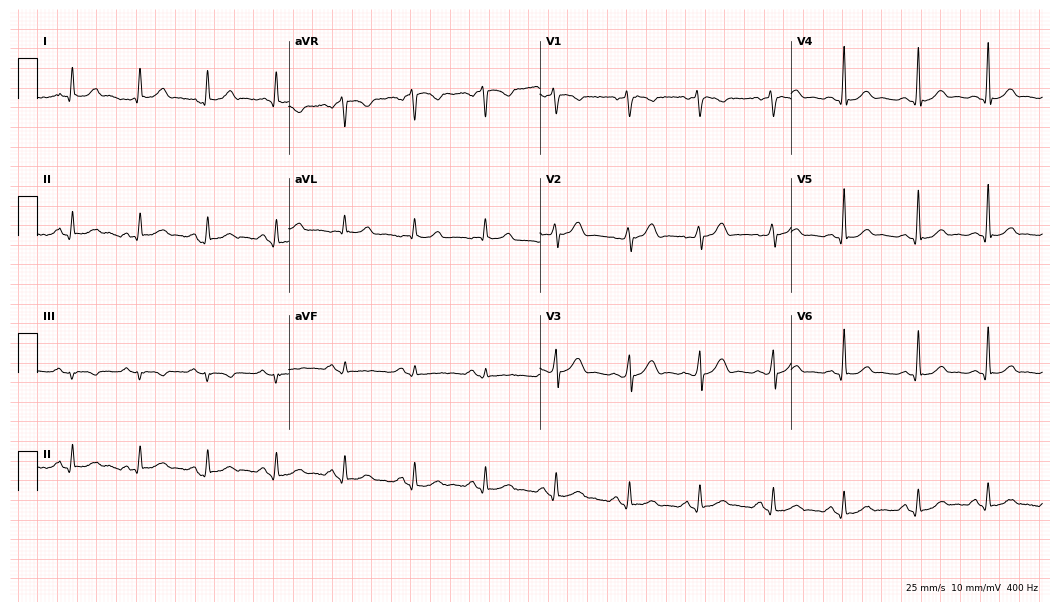
Resting 12-lead electrocardiogram (10.2-second recording at 400 Hz). Patient: a 42-year-old man. Read as a normal ECG.